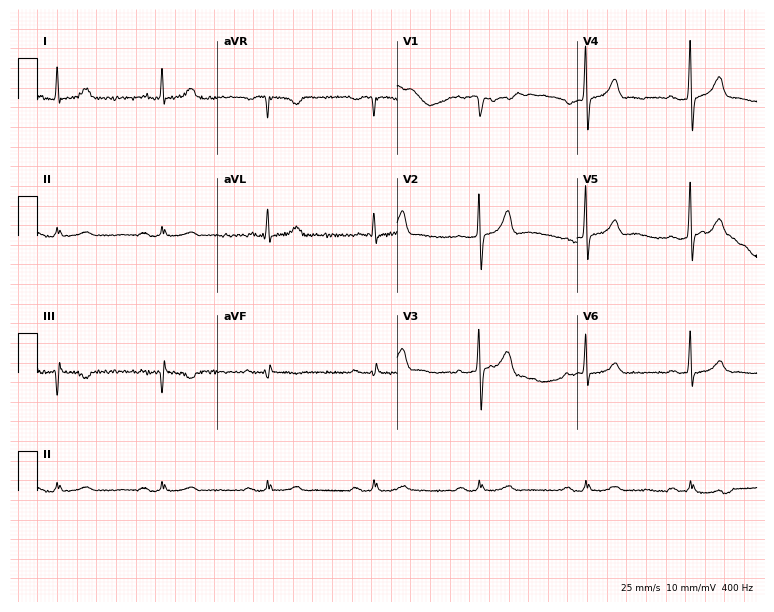
Electrocardiogram, a man, 72 years old. Overall reading on record: normal ECG.